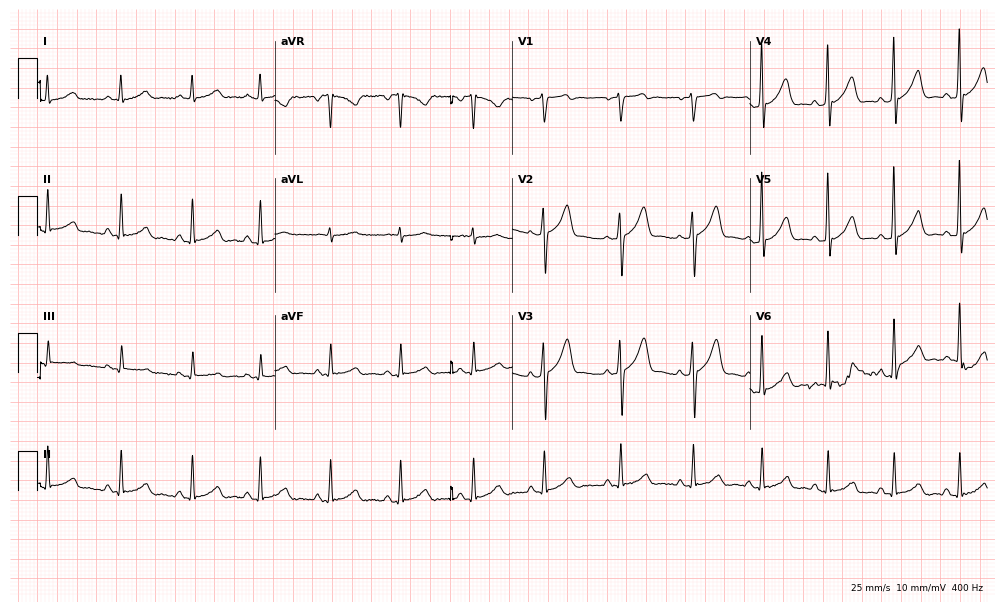
ECG — a male, 56 years old. Labelled as a normal ECG.